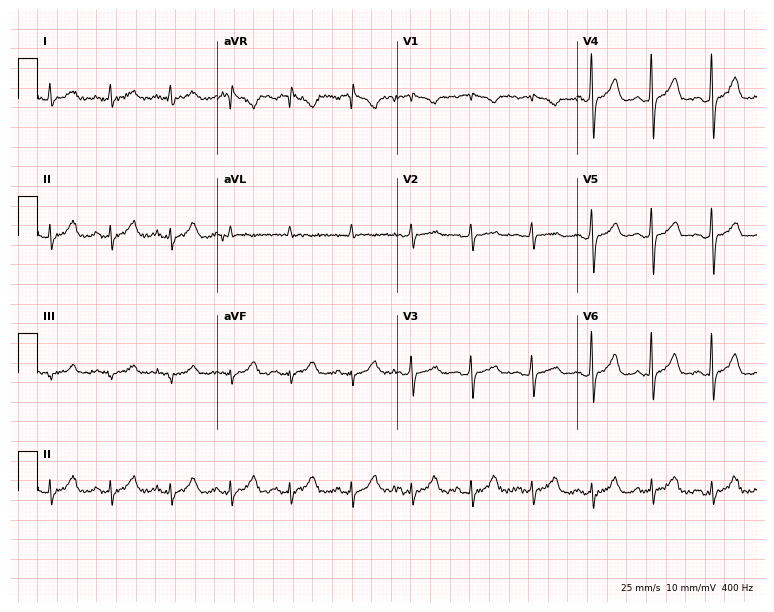
12-lead ECG (7.3-second recording at 400 Hz) from a female, 71 years old. Screened for six findings — first-degree AV block, right bundle branch block, left bundle branch block, sinus bradycardia, atrial fibrillation, sinus tachycardia — none is recorded. Other findings, if any, are not listed.